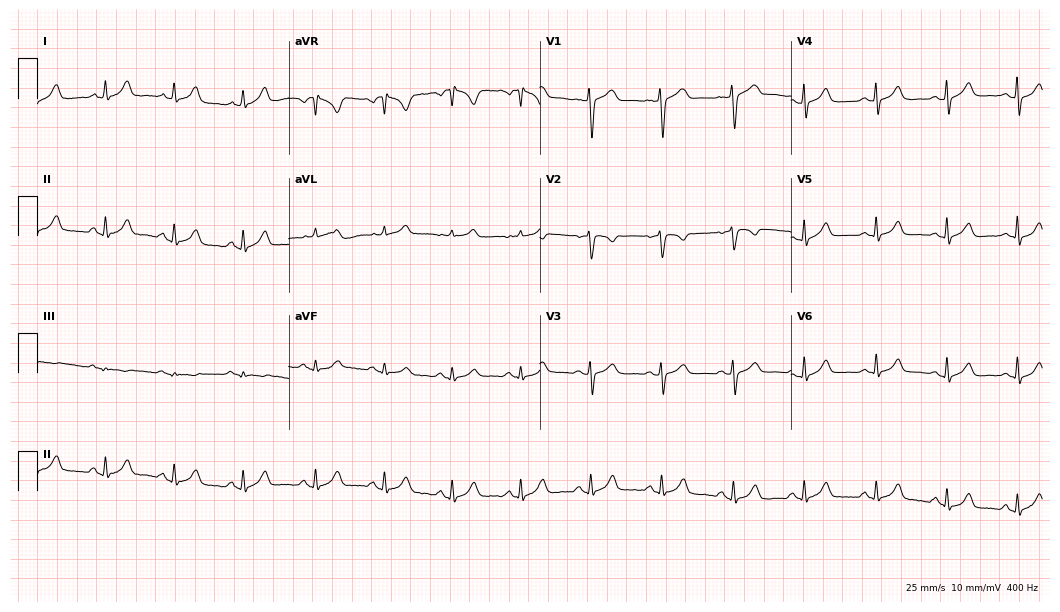
12-lead ECG from a woman, 27 years old (10.2-second recording at 400 Hz). Recorded interpretation: within normal limits.